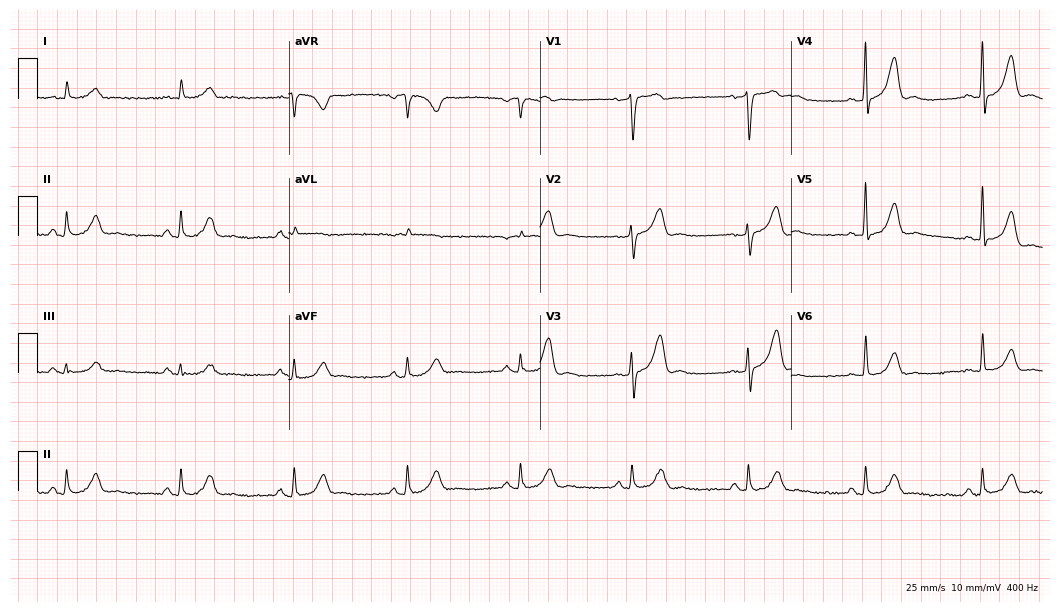
12-lead ECG (10.2-second recording at 400 Hz) from a 70-year-old man. Screened for six findings — first-degree AV block, right bundle branch block, left bundle branch block, sinus bradycardia, atrial fibrillation, sinus tachycardia — none is recorded. Findings outside these six are not listed.